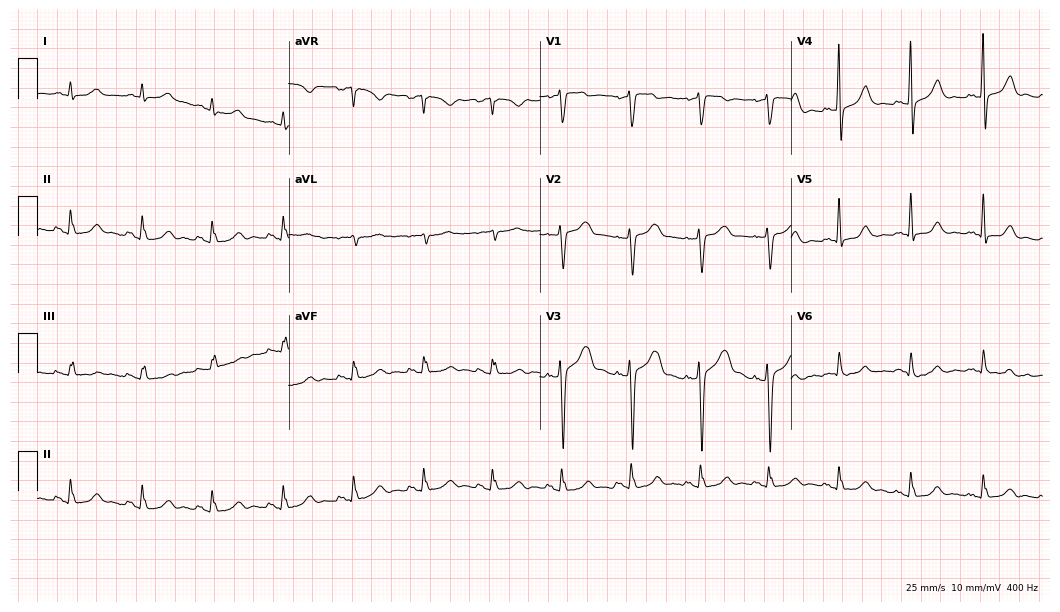
Electrocardiogram (10.2-second recording at 400 Hz), a man, 40 years old. Overall reading on record: normal ECG.